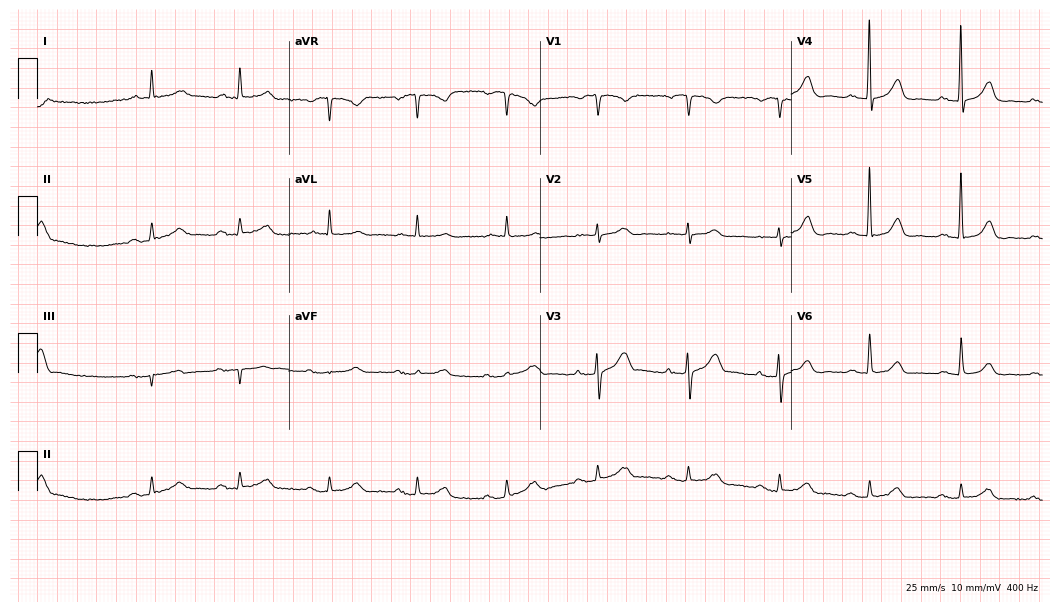
Resting 12-lead electrocardiogram. Patient: a 78-year-old male. None of these six findings is recorded: first-degree AV block, right bundle branch block, left bundle branch block, sinus bradycardia, atrial fibrillation, sinus tachycardia. Only these six findings were labelled.